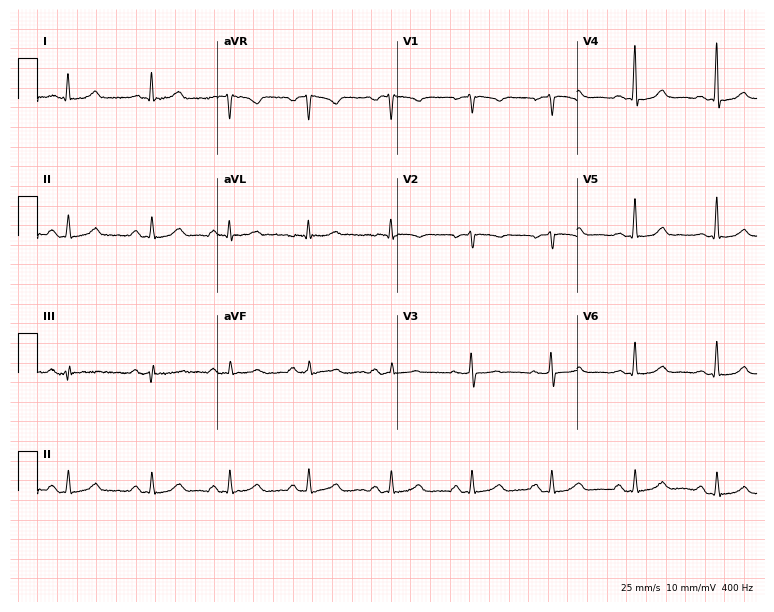
Standard 12-lead ECG recorded from a female, 59 years old. Read as a normal ECG.